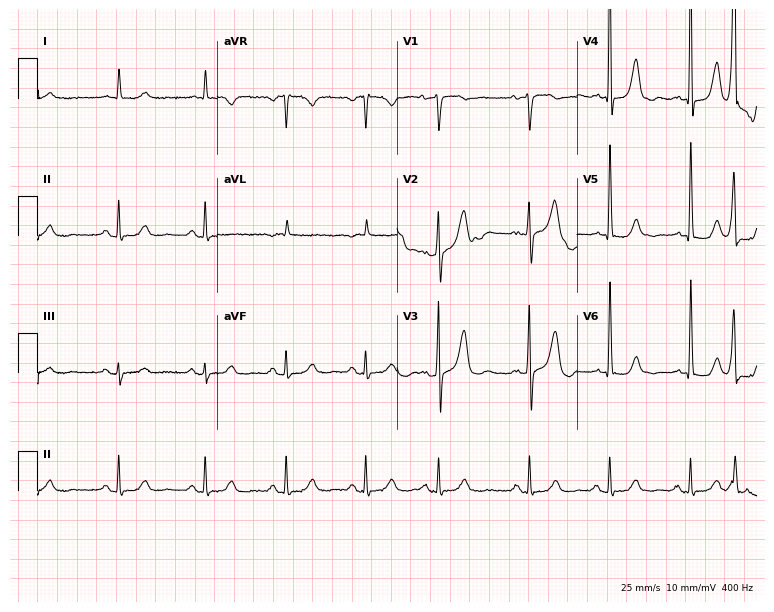
Resting 12-lead electrocardiogram. Patient: an 80-year-old female. Read as a normal ECG.